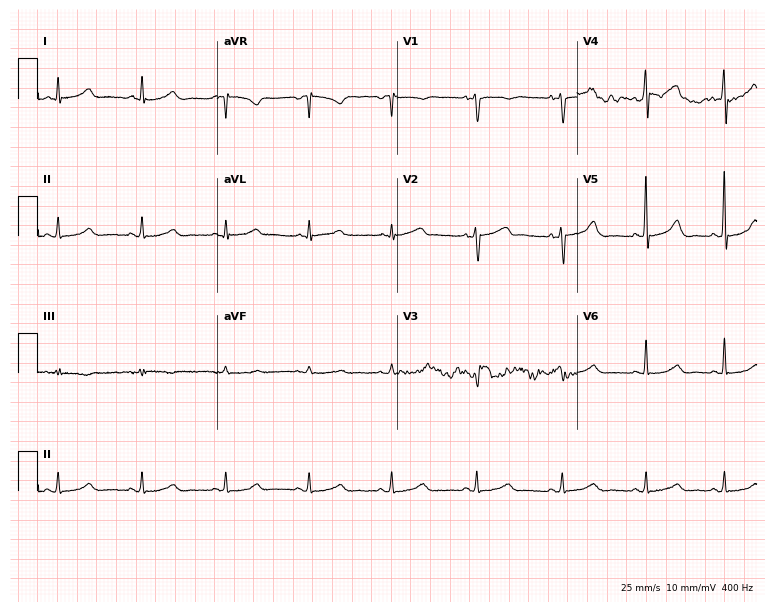
12-lead ECG from a female, 47 years old (7.3-second recording at 400 Hz). Recorded interpretation: within normal limits.